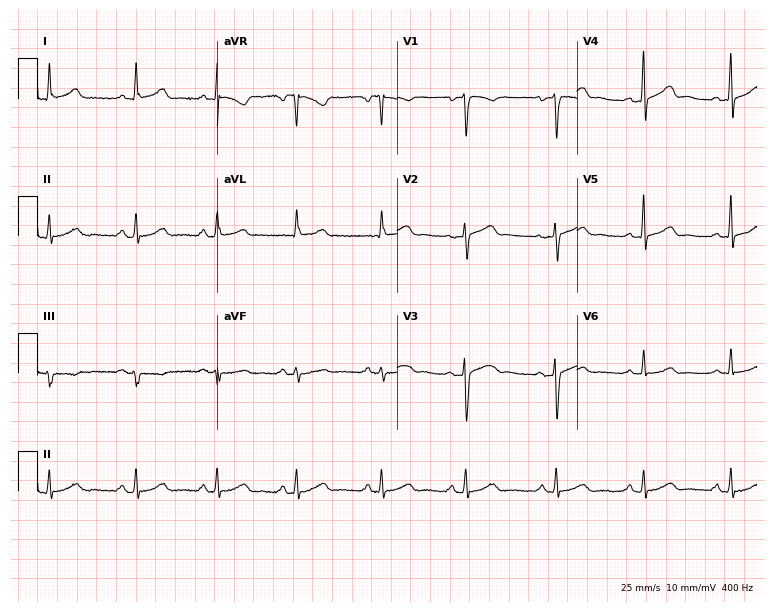
Resting 12-lead electrocardiogram (7.3-second recording at 400 Hz). Patient: a woman, 47 years old. Read as a normal ECG.